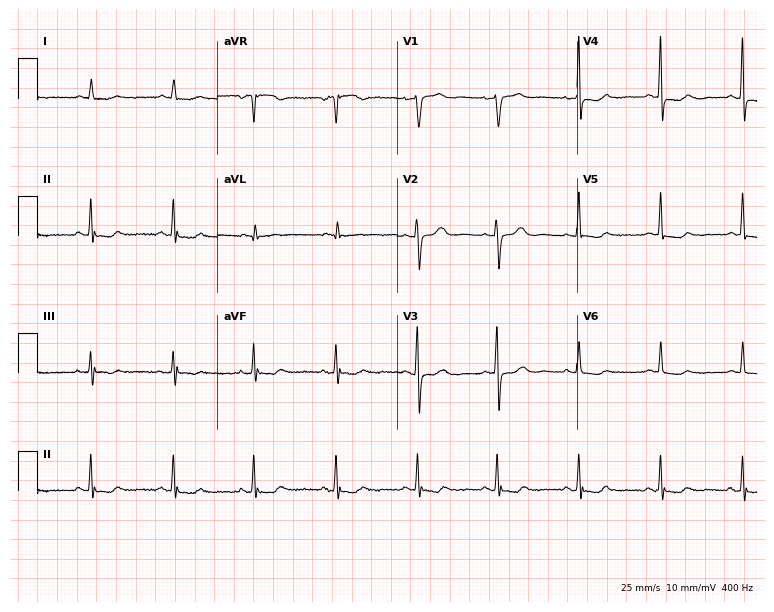
12-lead ECG (7.3-second recording at 400 Hz) from a 55-year-old female patient. Screened for six findings — first-degree AV block, right bundle branch block (RBBB), left bundle branch block (LBBB), sinus bradycardia, atrial fibrillation (AF), sinus tachycardia — none is recorded. Other findings, if any, are not listed.